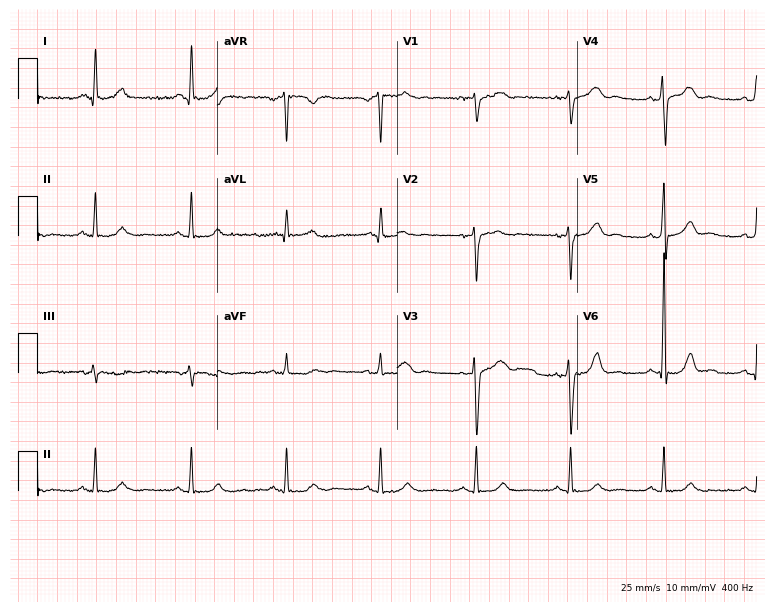
Standard 12-lead ECG recorded from a male patient, 53 years old. None of these six findings is recorded: first-degree AV block, right bundle branch block, left bundle branch block, sinus bradycardia, atrial fibrillation, sinus tachycardia. Findings outside these six are not listed.